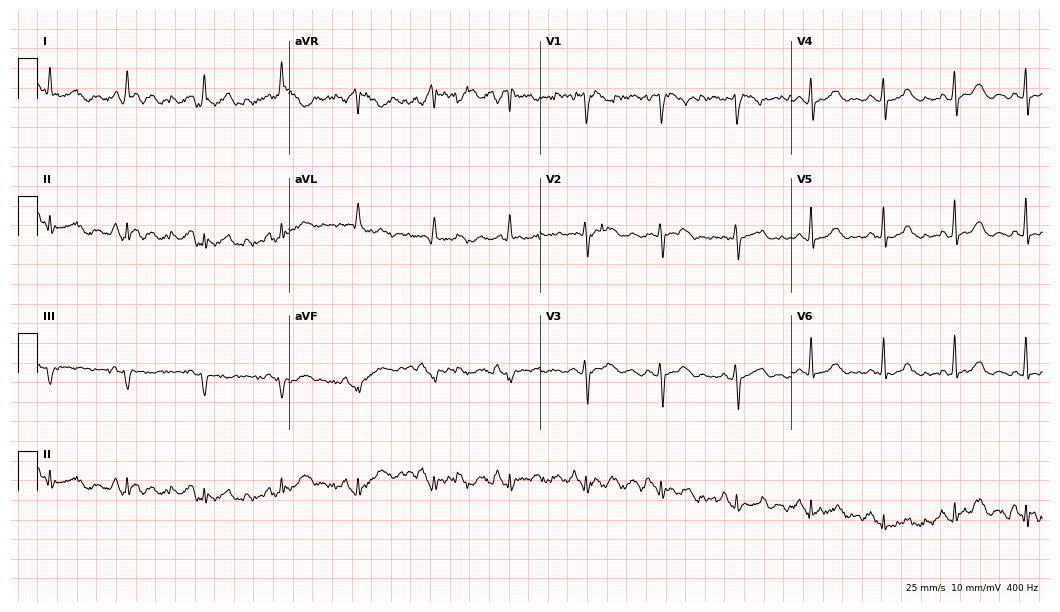
Electrocardiogram, a woman, 63 years old. Of the six screened findings (first-degree AV block, right bundle branch block (RBBB), left bundle branch block (LBBB), sinus bradycardia, atrial fibrillation (AF), sinus tachycardia), none is recorded. Other findings, if any, are not listed.